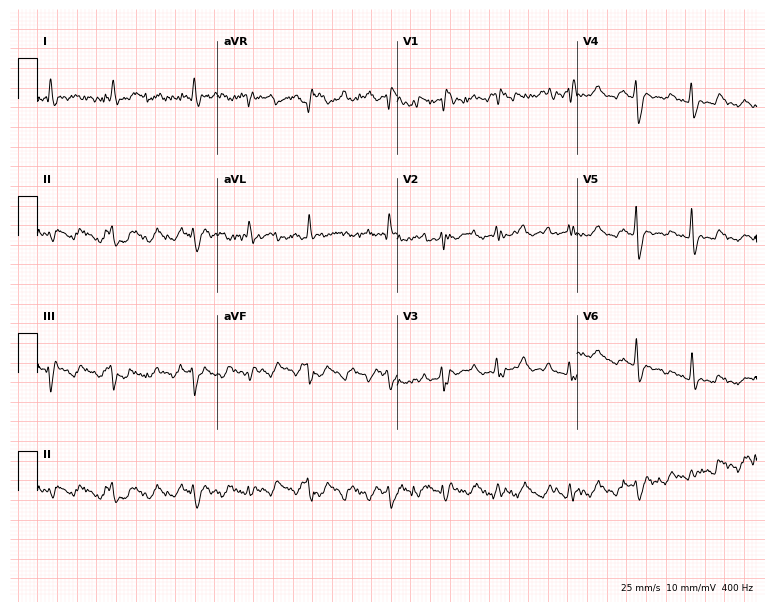
Resting 12-lead electrocardiogram. Patient: a man, 81 years old. None of these six findings is recorded: first-degree AV block, right bundle branch block (RBBB), left bundle branch block (LBBB), sinus bradycardia, atrial fibrillation (AF), sinus tachycardia. Findings outside these six are not listed.